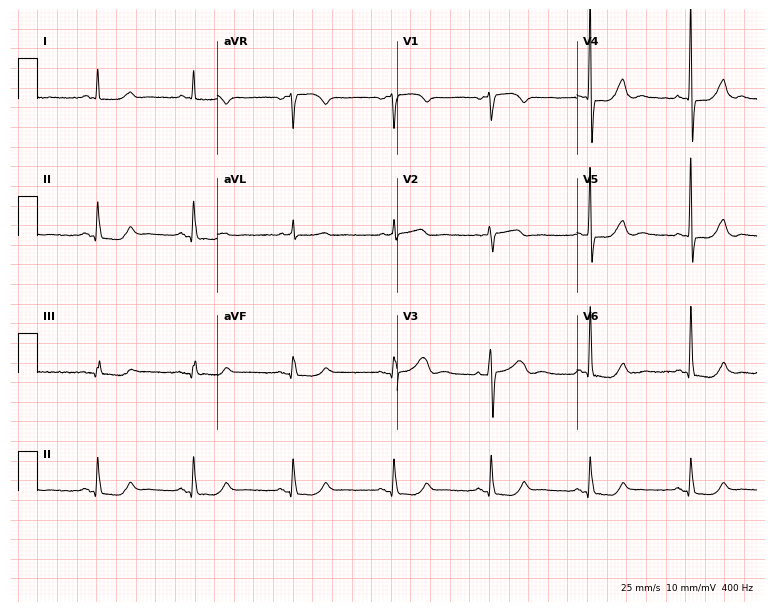
Resting 12-lead electrocardiogram. Patient: a female, 71 years old. None of these six findings is recorded: first-degree AV block, right bundle branch block, left bundle branch block, sinus bradycardia, atrial fibrillation, sinus tachycardia. Only these six findings were labelled.